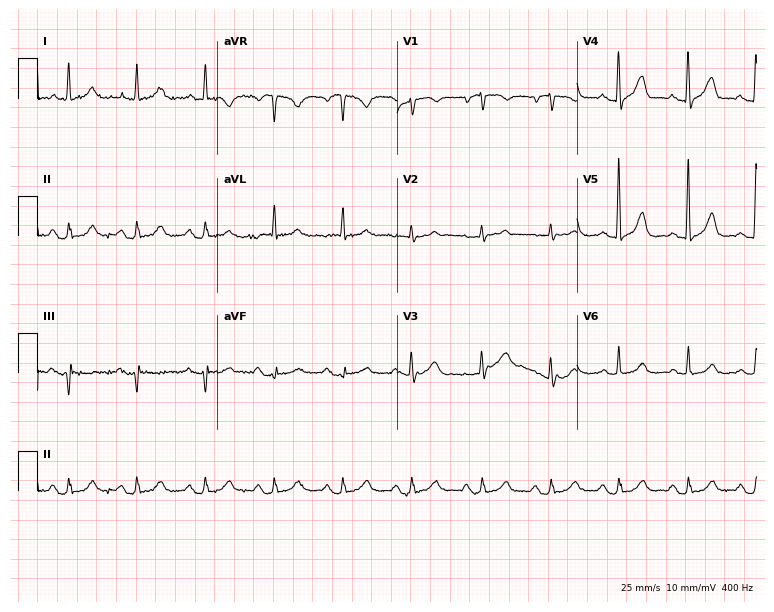
Electrocardiogram (7.3-second recording at 400 Hz), a female, 85 years old. Of the six screened findings (first-degree AV block, right bundle branch block (RBBB), left bundle branch block (LBBB), sinus bradycardia, atrial fibrillation (AF), sinus tachycardia), none is recorded.